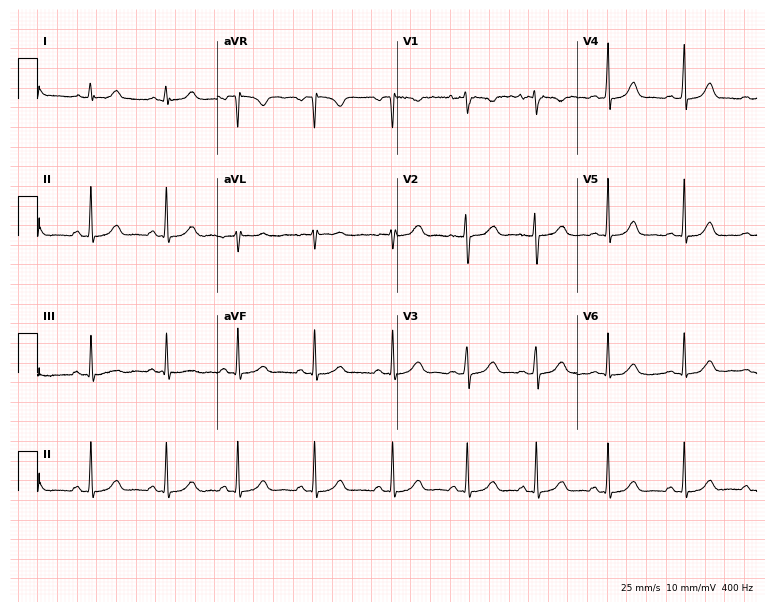
Resting 12-lead electrocardiogram. Patient: a female, 30 years old. Read as a normal ECG.